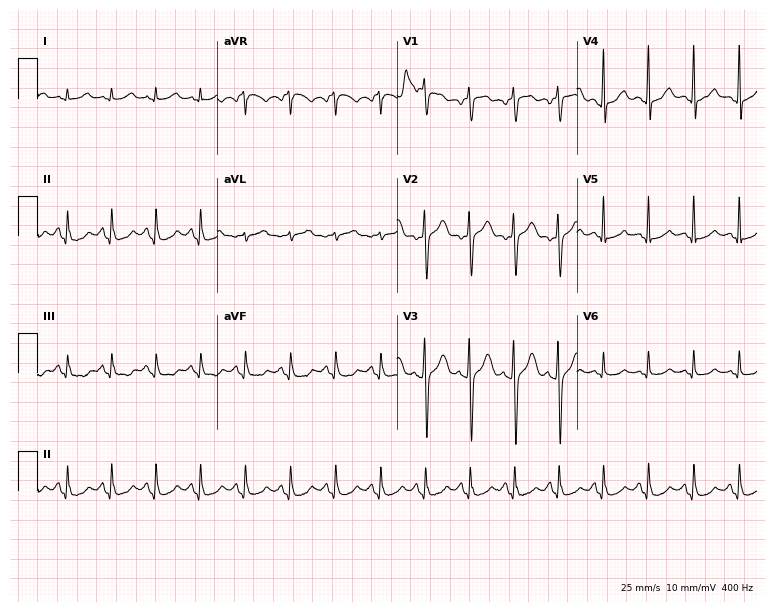
Standard 12-lead ECG recorded from a man, 41 years old (7.3-second recording at 400 Hz). None of these six findings is recorded: first-degree AV block, right bundle branch block (RBBB), left bundle branch block (LBBB), sinus bradycardia, atrial fibrillation (AF), sinus tachycardia. Findings outside these six are not listed.